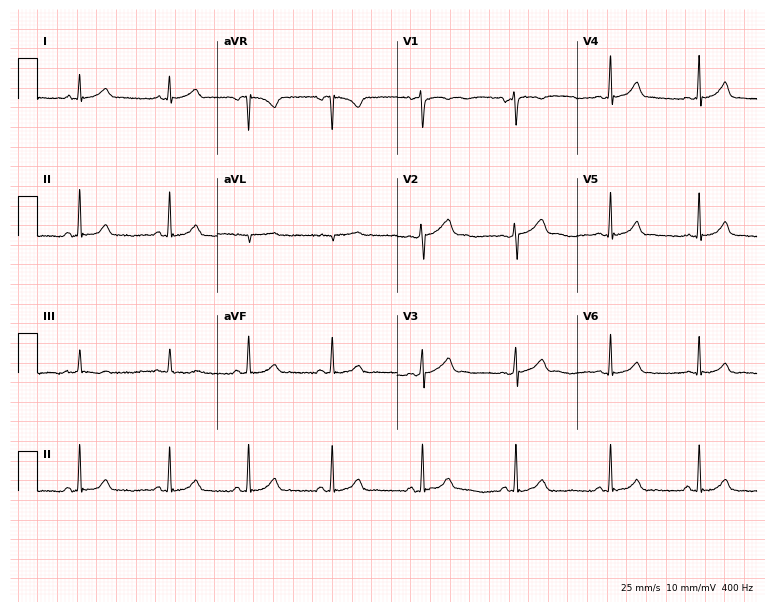
Standard 12-lead ECG recorded from a 32-year-old female (7.3-second recording at 400 Hz). Read as a normal ECG.